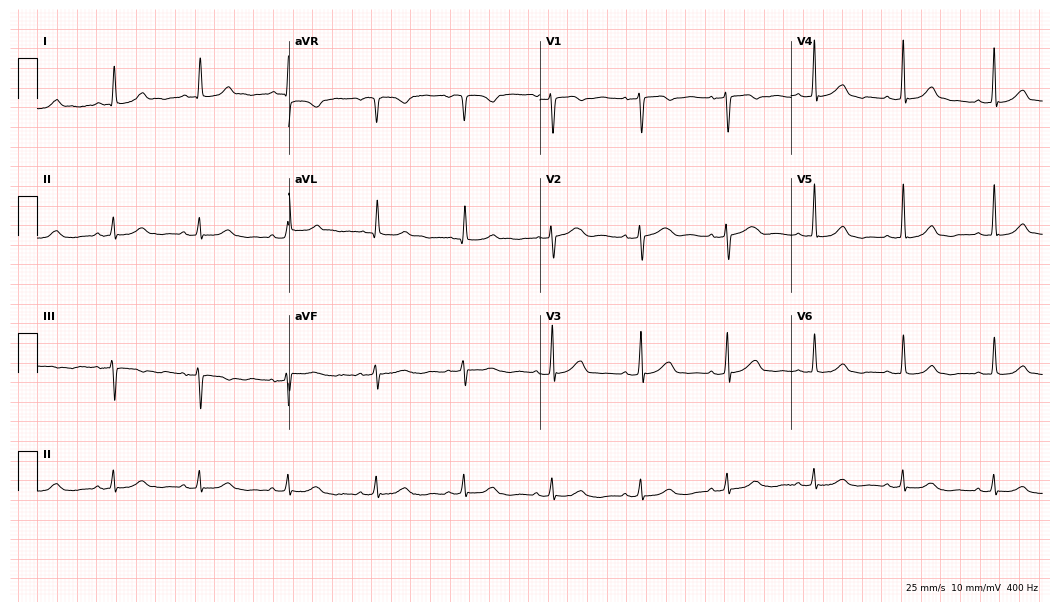
Standard 12-lead ECG recorded from a woman, 77 years old. Read as a normal ECG.